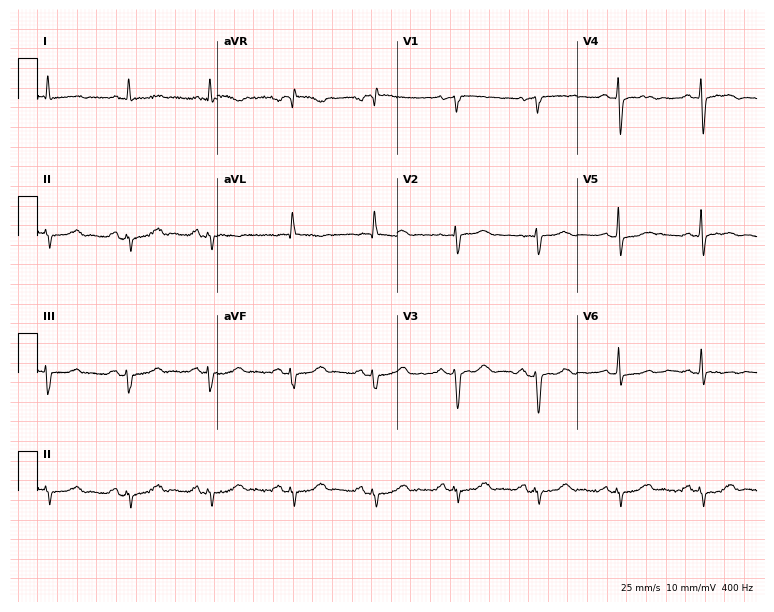
Standard 12-lead ECG recorded from a female, 73 years old (7.3-second recording at 400 Hz). None of these six findings is recorded: first-degree AV block, right bundle branch block, left bundle branch block, sinus bradycardia, atrial fibrillation, sinus tachycardia.